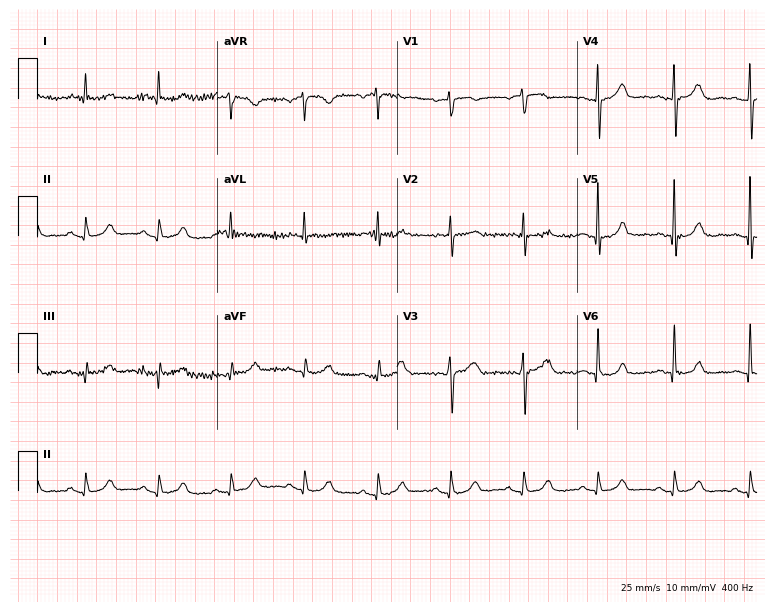
Standard 12-lead ECG recorded from a female patient, 74 years old. None of these six findings is recorded: first-degree AV block, right bundle branch block (RBBB), left bundle branch block (LBBB), sinus bradycardia, atrial fibrillation (AF), sinus tachycardia. Other findings, if any, are not listed.